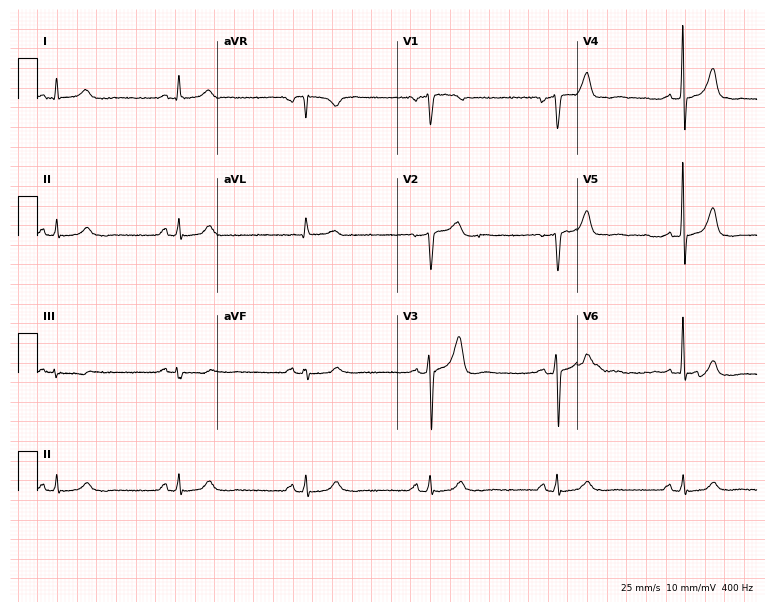
ECG (7.3-second recording at 400 Hz) — a 66-year-old male. Screened for six findings — first-degree AV block, right bundle branch block (RBBB), left bundle branch block (LBBB), sinus bradycardia, atrial fibrillation (AF), sinus tachycardia — none is recorded. Findings outside these six are not listed.